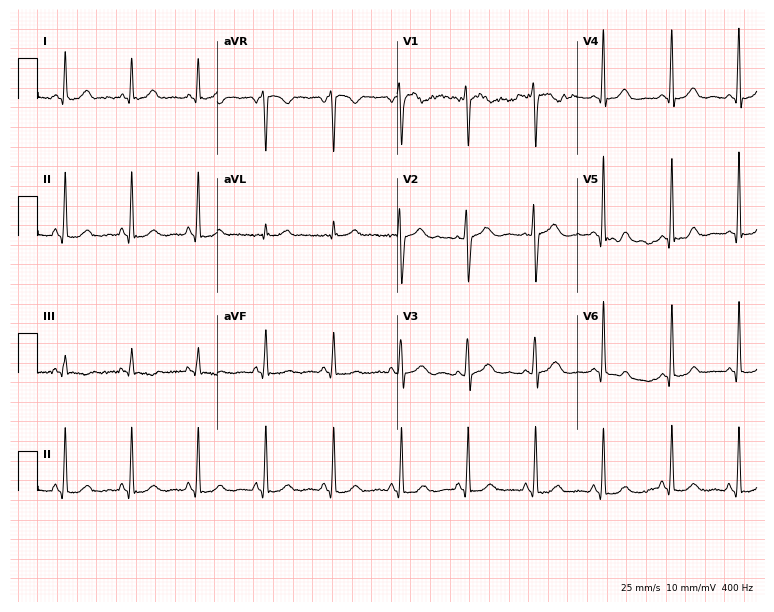
Standard 12-lead ECG recorded from a woman, 41 years old. Read as a normal ECG.